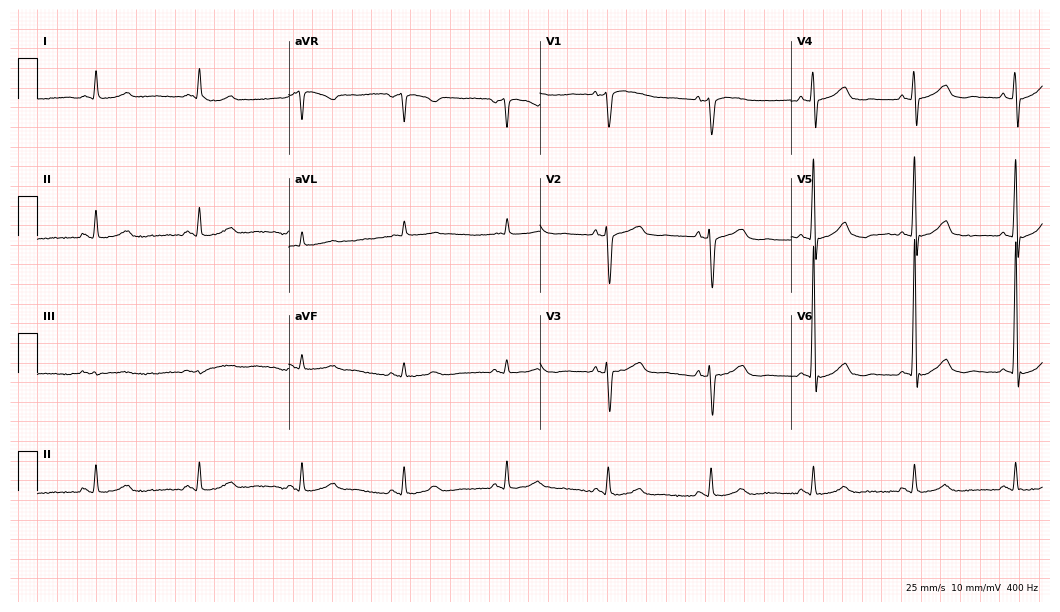
Standard 12-lead ECG recorded from a male patient, 79 years old. Read as a normal ECG.